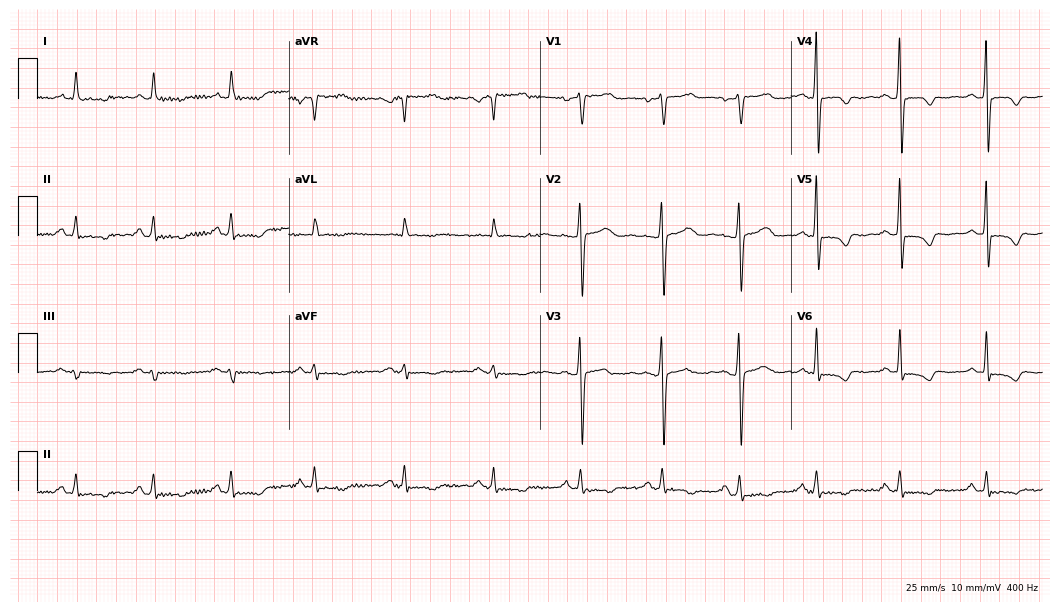
12-lead ECG from a 45-year-old female (10.2-second recording at 400 Hz). No first-degree AV block, right bundle branch block, left bundle branch block, sinus bradycardia, atrial fibrillation or sinus tachycardia recorded for this tracing.